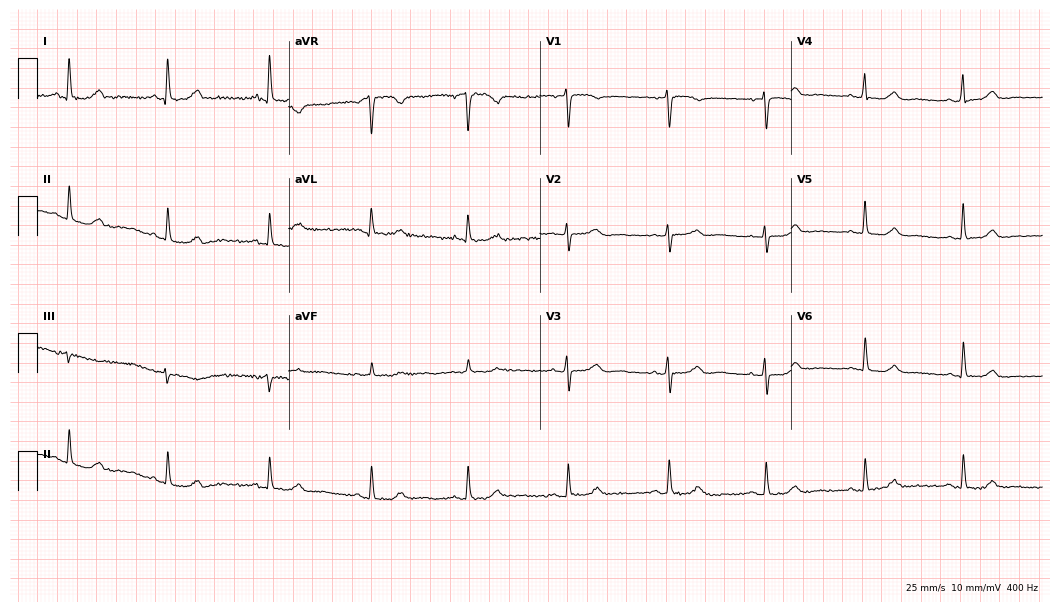
12-lead ECG from a 72-year-old woman. Labelled as a normal ECG.